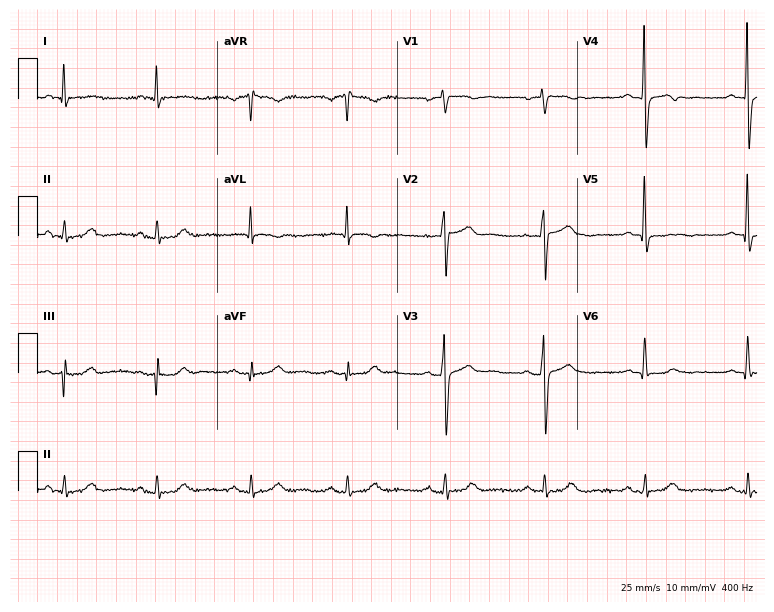
Standard 12-lead ECG recorded from a male patient, 64 years old. None of these six findings is recorded: first-degree AV block, right bundle branch block, left bundle branch block, sinus bradycardia, atrial fibrillation, sinus tachycardia.